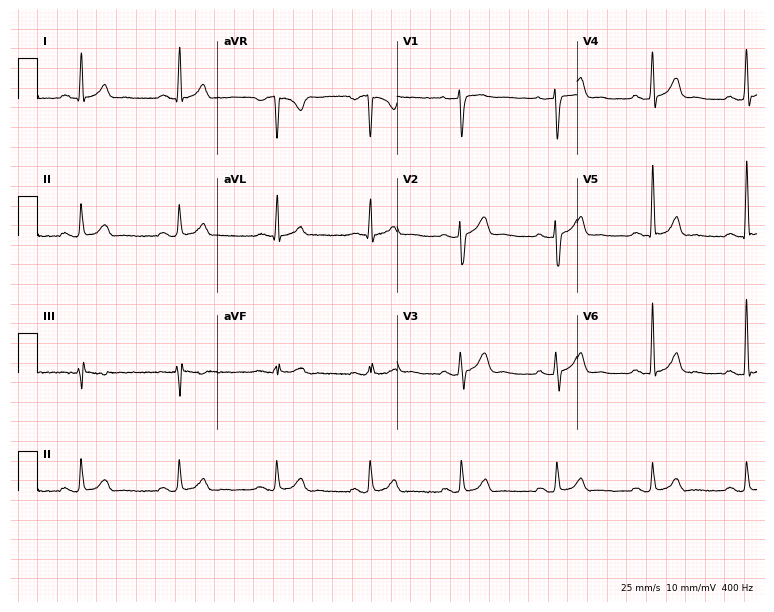
Electrocardiogram, a 43-year-old male. Overall reading on record: normal ECG.